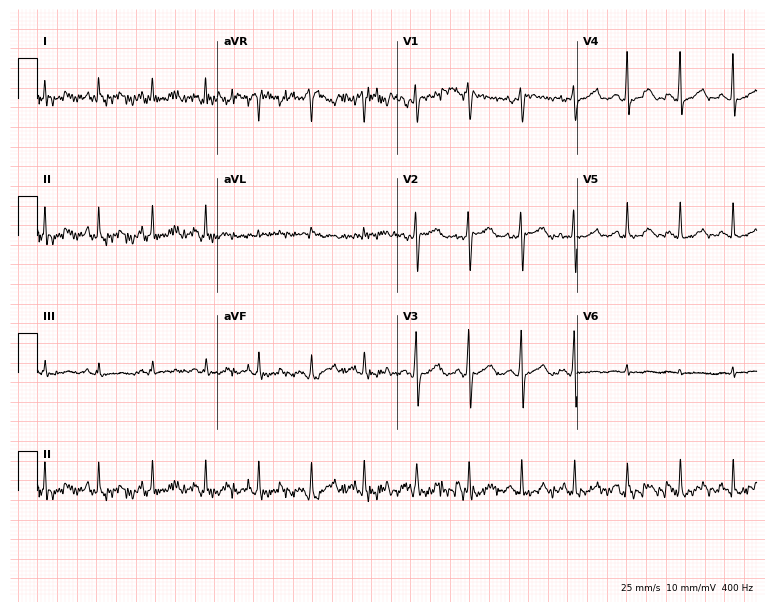
12-lead ECG from a 49-year-old female. Shows sinus tachycardia (a sinus rate of 100 beats per minute or more).